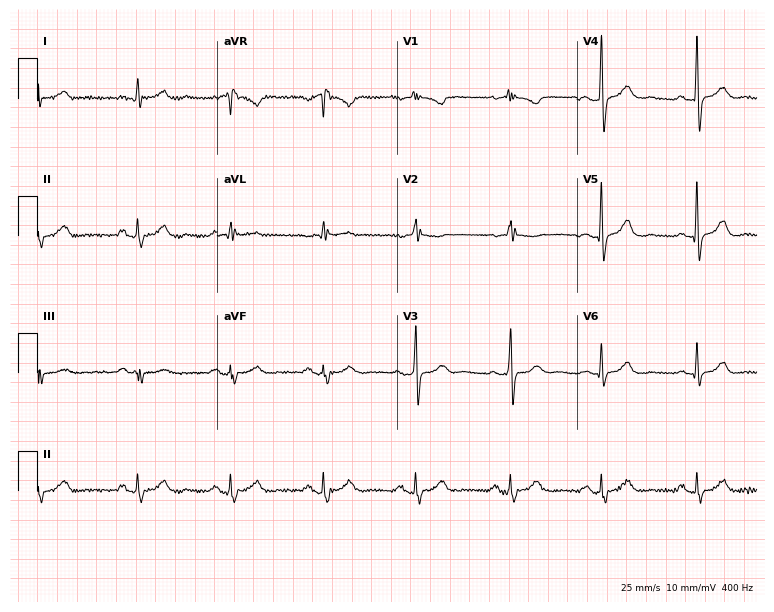
Resting 12-lead electrocardiogram (7.3-second recording at 400 Hz). Patient: a male, 50 years old. None of these six findings is recorded: first-degree AV block, right bundle branch block, left bundle branch block, sinus bradycardia, atrial fibrillation, sinus tachycardia.